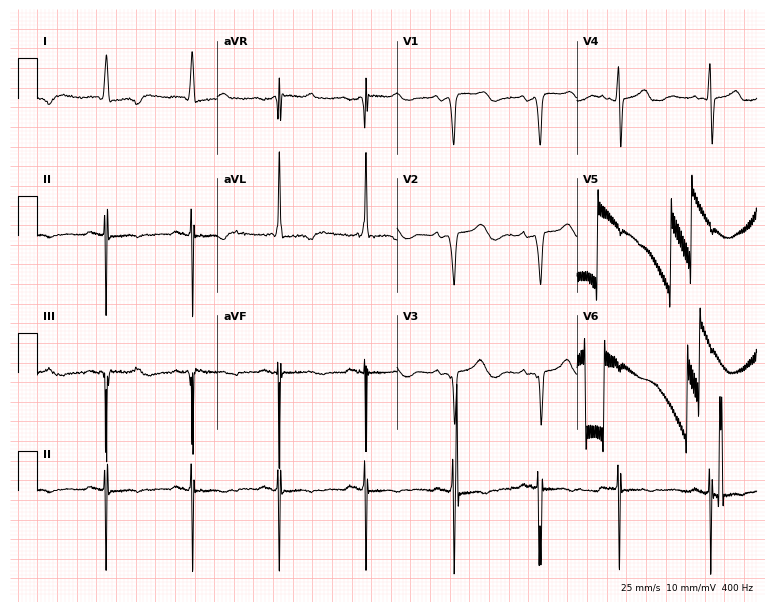
12-lead ECG (7.3-second recording at 400 Hz) from a woman, 75 years old. Screened for six findings — first-degree AV block, right bundle branch block, left bundle branch block, sinus bradycardia, atrial fibrillation, sinus tachycardia — none is recorded.